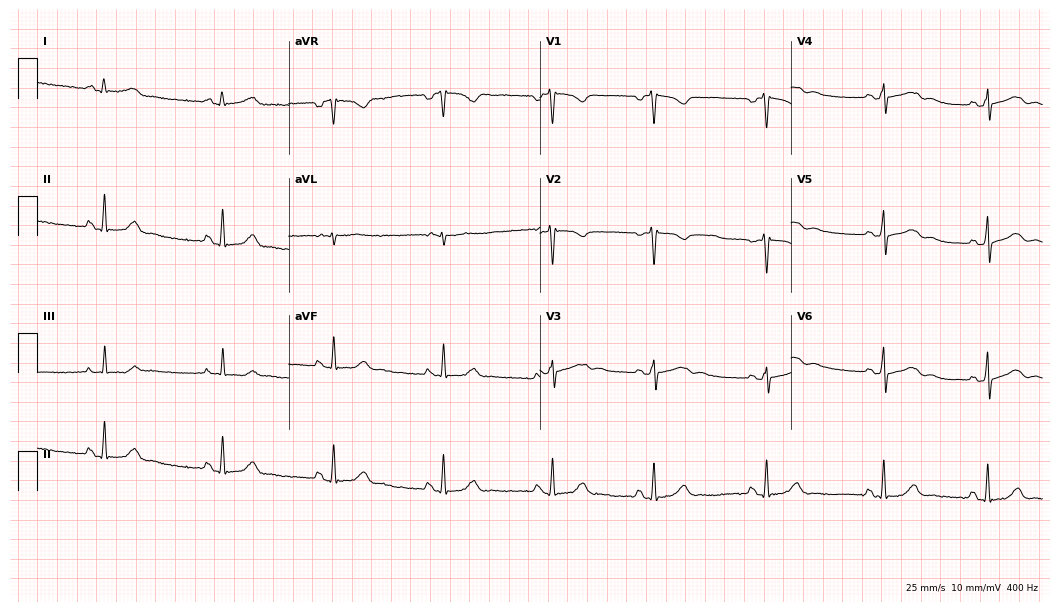
Standard 12-lead ECG recorded from a female patient, 32 years old. Read as a normal ECG.